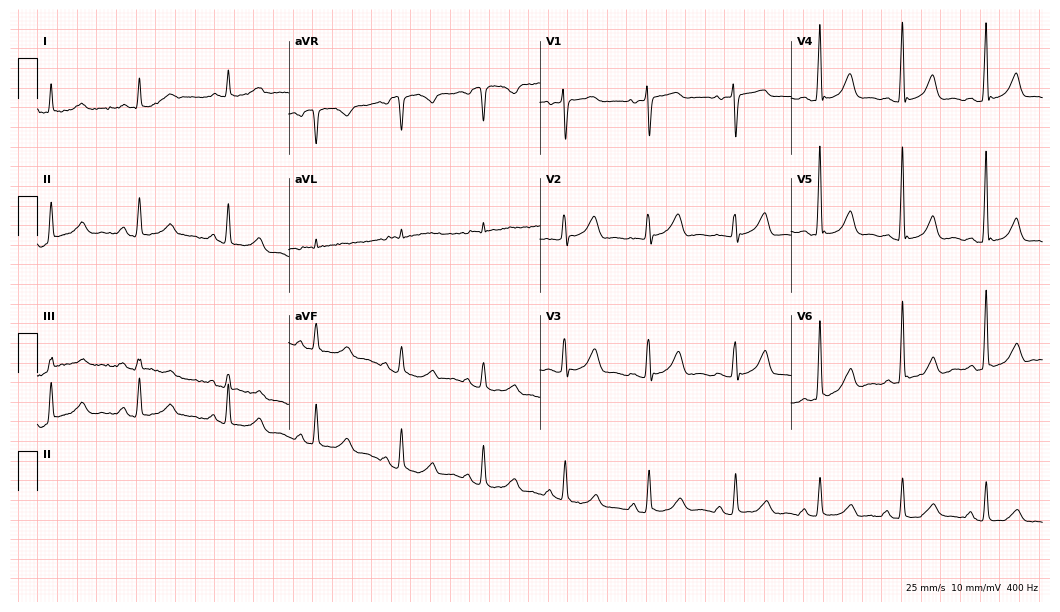
12-lead ECG (10.2-second recording at 400 Hz) from a woman, 68 years old. Labelled as a normal ECG.